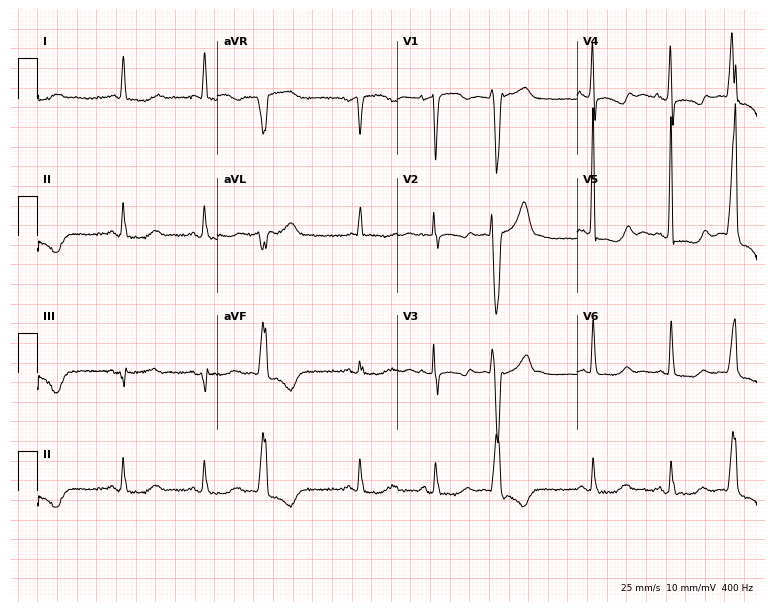
12-lead ECG from a woman, 77 years old (7.3-second recording at 400 Hz). No first-degree AV block, right bundle branch block, left bundle branch block, sinus bradycardia, atrial fibrillation or sinus tachycardia recorded for this tracing. Findings outside these six are not listed.